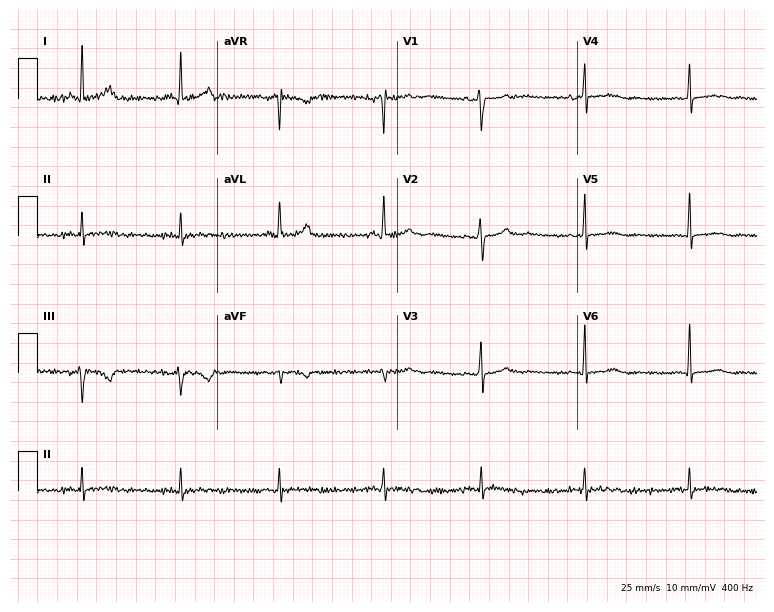
Resting 12-lead electrocardiogram. Patient: a 39-year-old female. None of these six findings is recorded: first-degree AV block, right bundle branch block, left bundle branch block, sinus bradycardia, atrial fibrillation, sinus tachycardia.